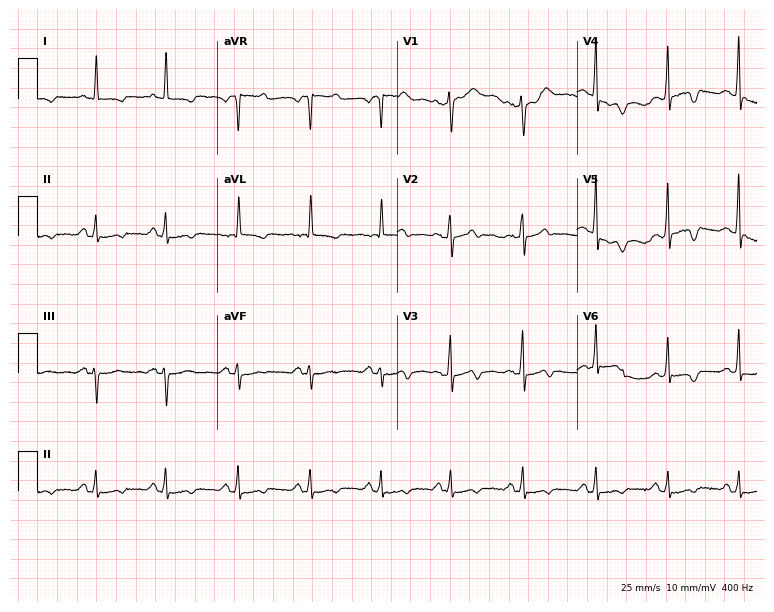
ECG — a woman, 85 years old. Screened for six findings — first-degree AV block, right bundle branch block, left bundle branch block, sinus bradycardia, atrial fibrillation, sinus tachycardia — none is recorded. Only these six findings were labelled.